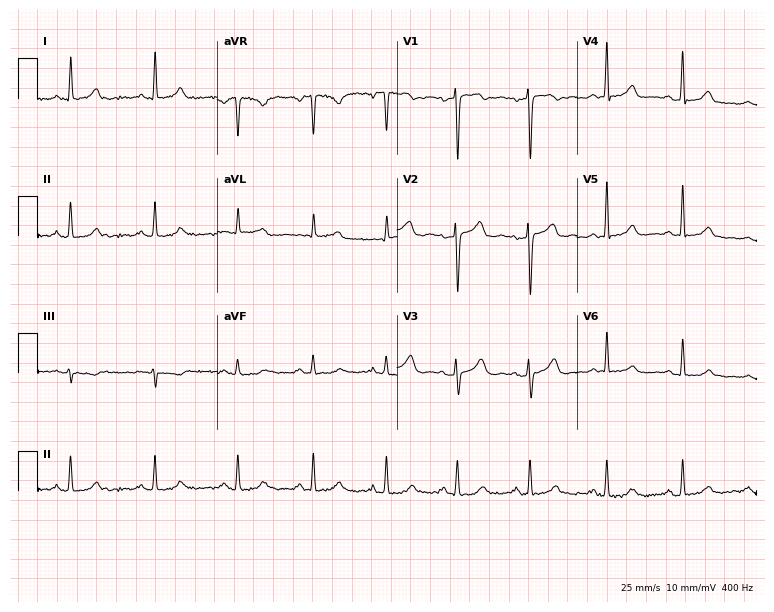
12-lead ECG (7.3-second recording at 400 Hz) from a 57-year-old female patient. Screened for six findings — first-degree AV block, right bundle branch block, left bundle branch block, sinus bradycardia, atrial fibrillation, sinus tachycardia — none is recorded. Only these six findings were labelled.